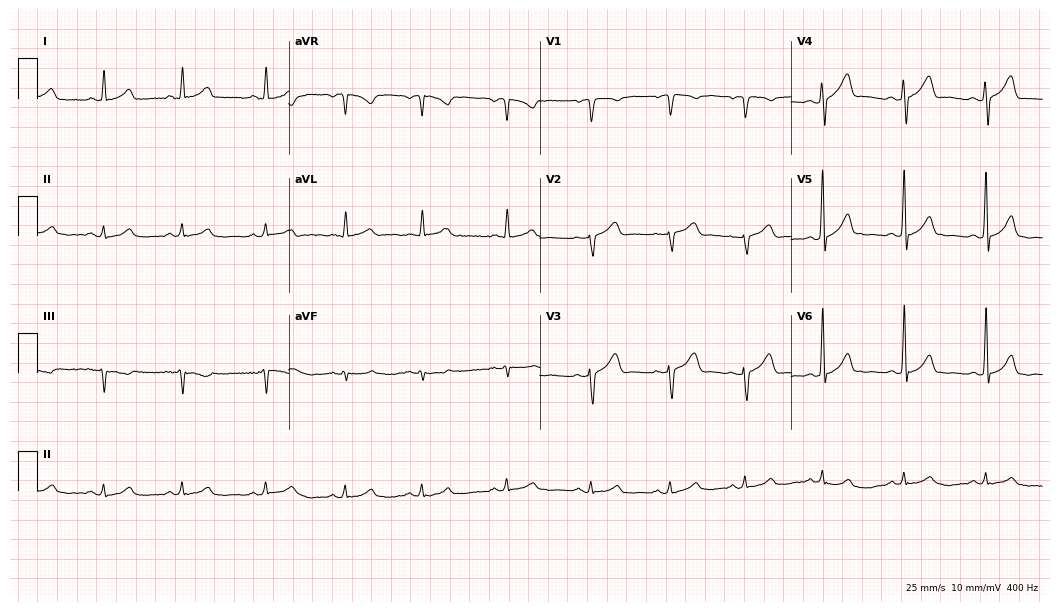
Standard 12-lead ECG recorded from a female, 44 years old. Read as a normal ECG.